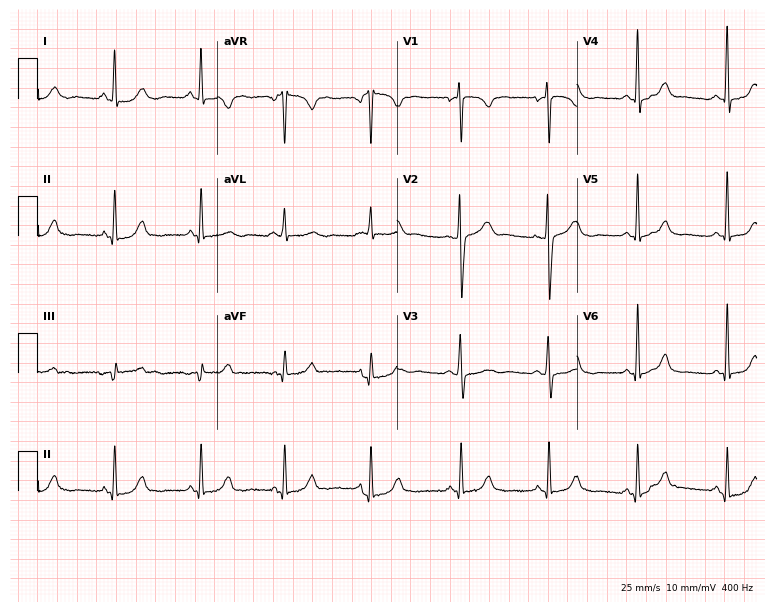
Standard 12-lead ECG recorded from a 59-year-old woman (7.3-second recording at 400 Hz). Read as a normal ECG.